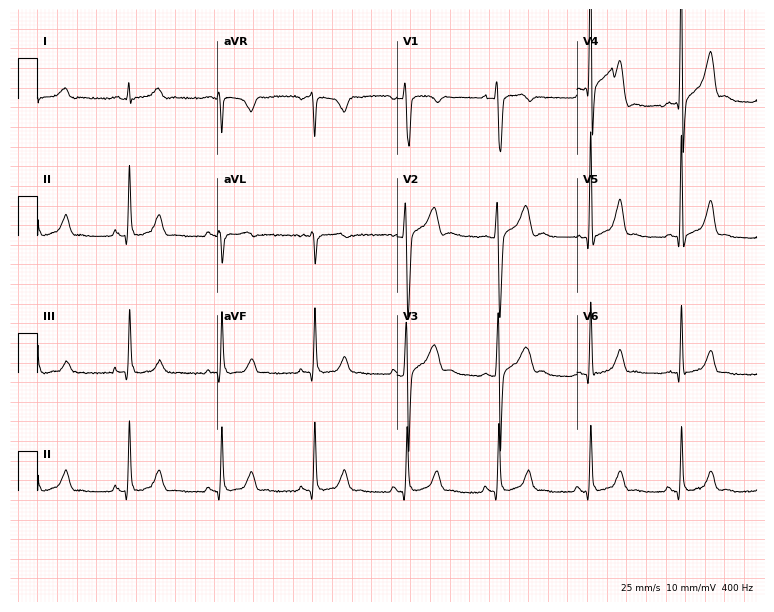
12-lead ECG from a male, 22 years old (7.3-second recording at 400 Hz). Recorded interpretation: within normal limits.